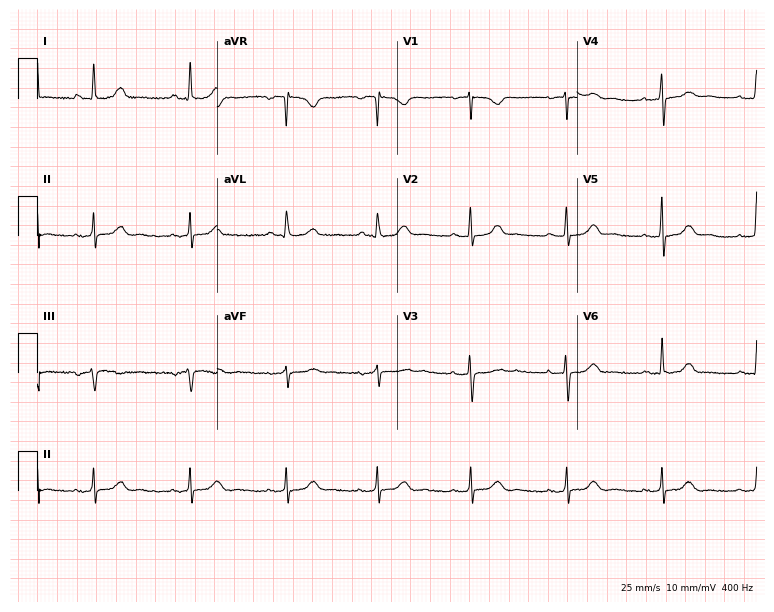
12-lead ECG from a female, 58 years old. Labelled as a normal ECG.